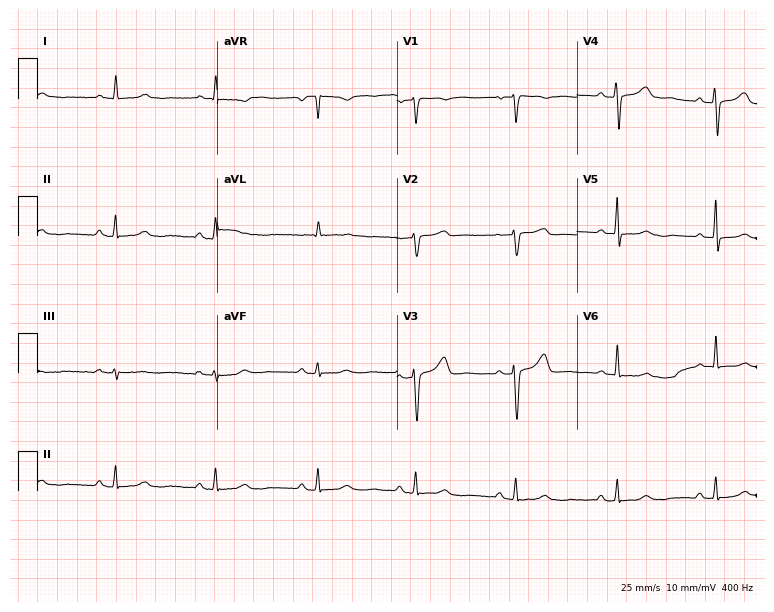
12-lead ECG from a 52-year-old female patient. Screened for six findings — first-degree AV block, right bundle branch block (RBBB), left bundle branch block (LBBB), sinus bradycardia, atrial fibrillation (AF), sinus tachycardia — none is recorded.